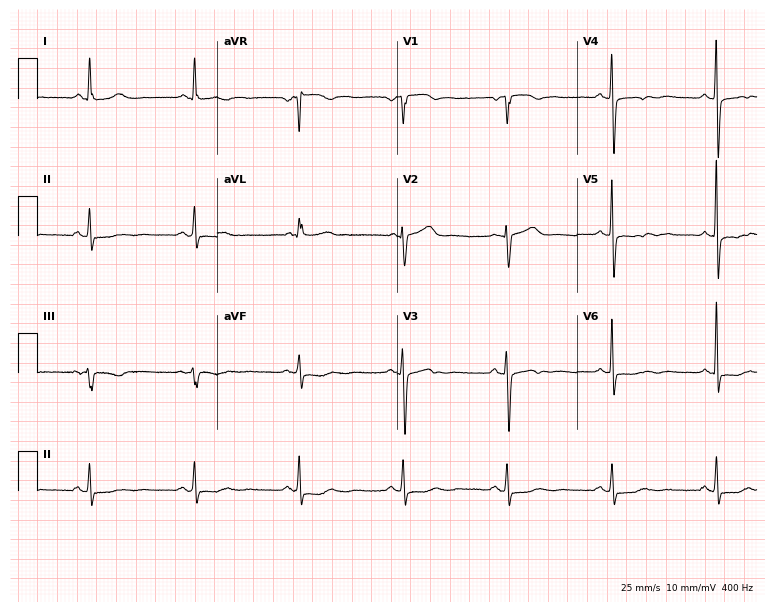
Standard 12-lead ECG recorded from a 69-year-old female. None of these six findings is recorded: first-degree AV block, right bundle branch block, left bundle branch block, sinus bradycardia, atrial fibrillation, sinus tachycardia.